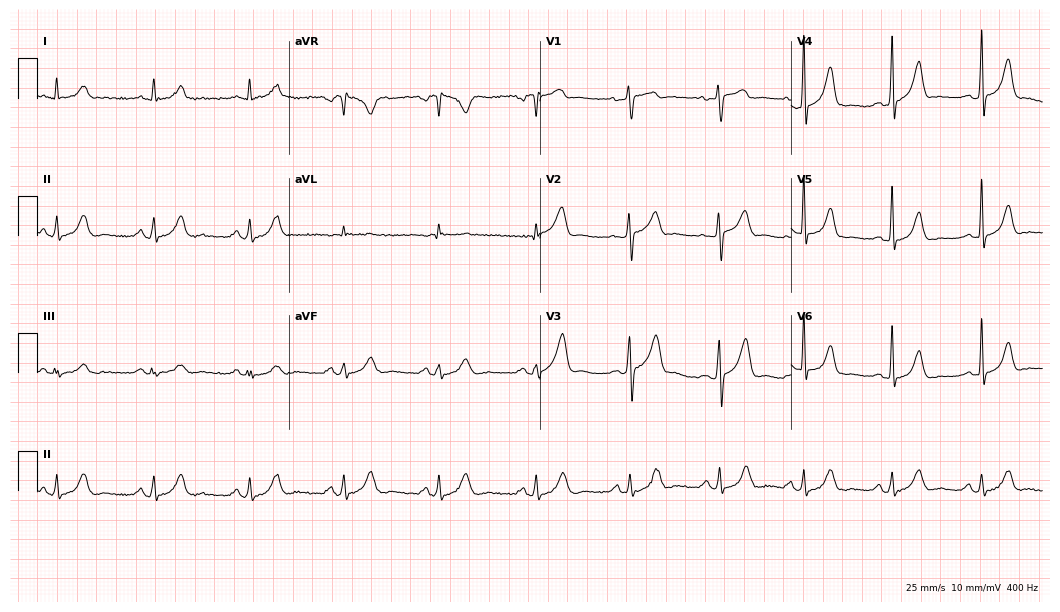
12-lead ECG from a 52-year-old male patient. Recorded interpretation: within normal limits.